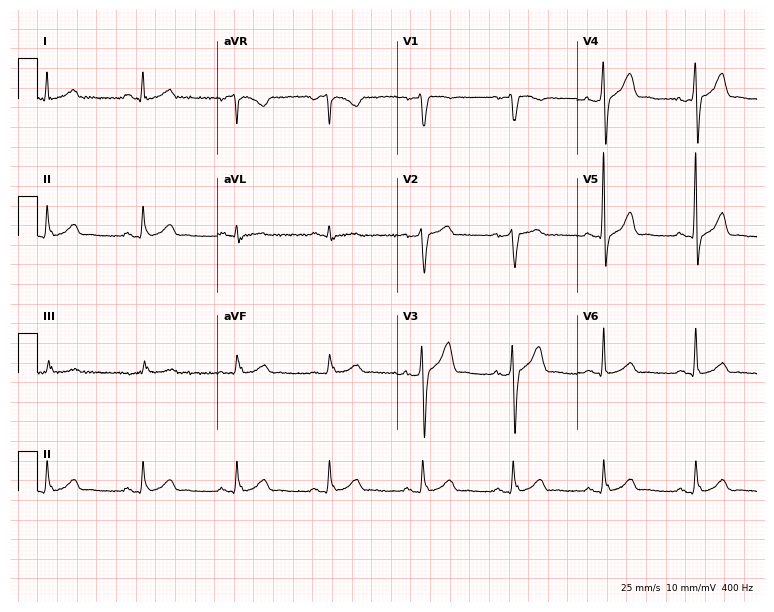
12-lead ECG from a male, 44 years old. Recorded interpretation: within normal limits.